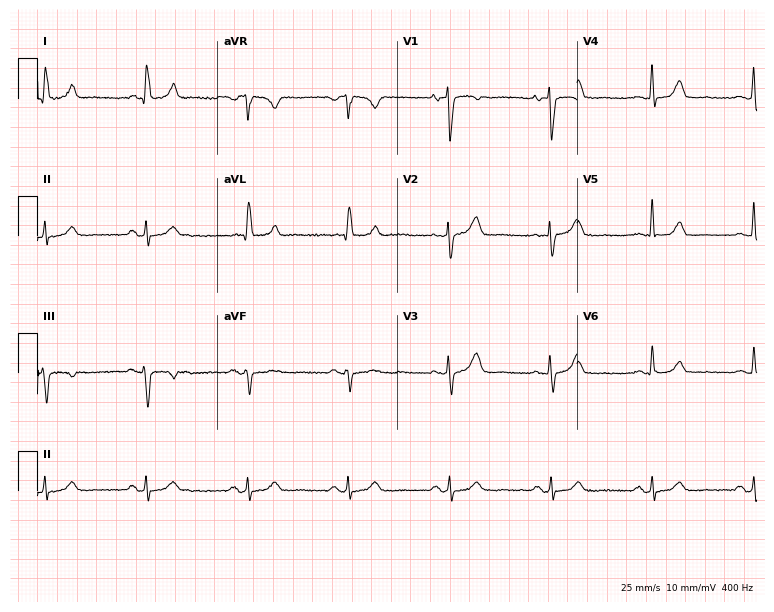
ECG — a 78-year-old female. Labelled as a normal ECG.